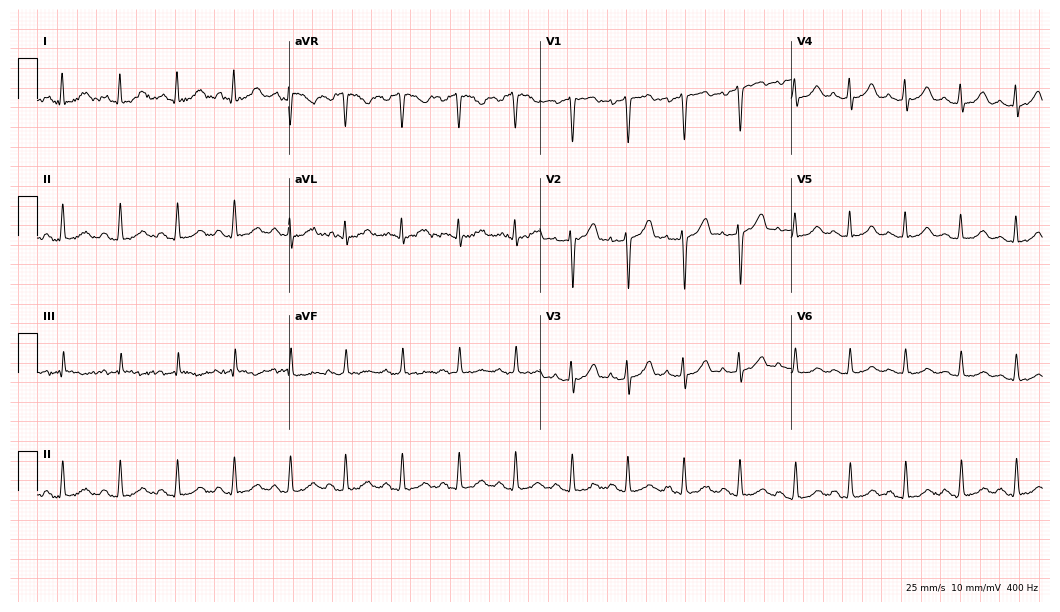
12-lead ECG from a female, 39 years old (10.2-second recording at 400 Hz). Shows sinus tachycardia (a sinus rate of 100 beats per minute or more).